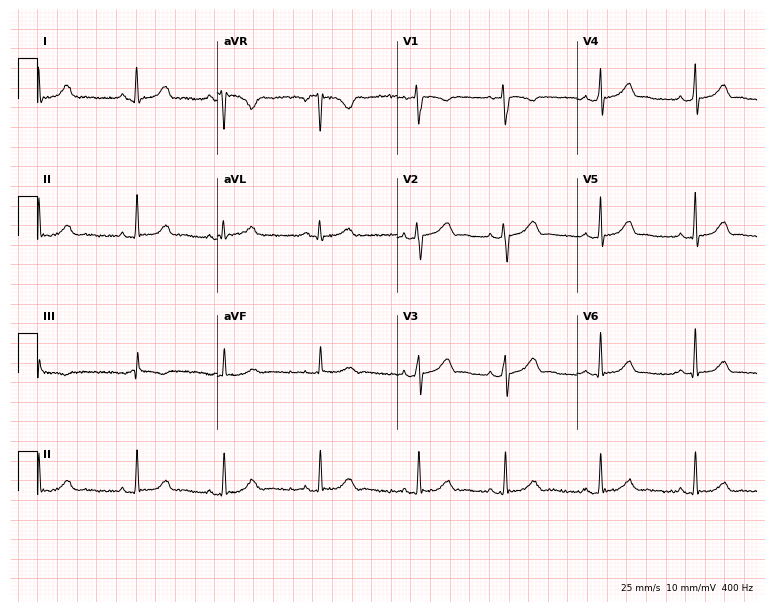
Resting 12-lead electrocardiogram. Patient: a female, 23 years old. None of these six findings is recorded: first-degree AV block, right bundle branch block (RBBB), left bundle branch block (LBBB), sinus bradycardia, atrial fibrillation (AF), sinus tachycardia.